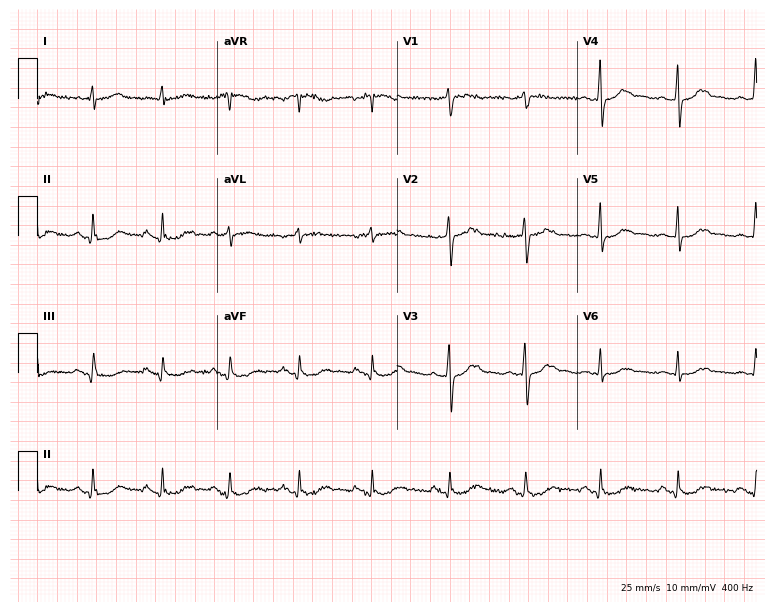
Resting 12-lead electrocardiogram (7.3-second recording at 400 Hz). Patient: a female, 62 years old. None of these six findings is recorded: first-degree AV block, right bundle branch block, left bundle branch block, sinus bradycardia, atrial fibrillation, sinus tachycardia.